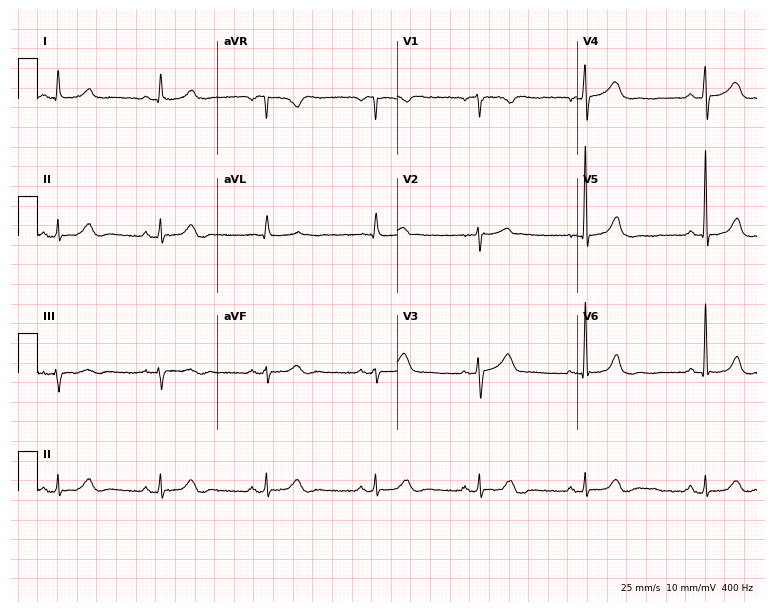
Electrocardiogram, a 59-year-old woman. Overall reading on record: normal ECG.